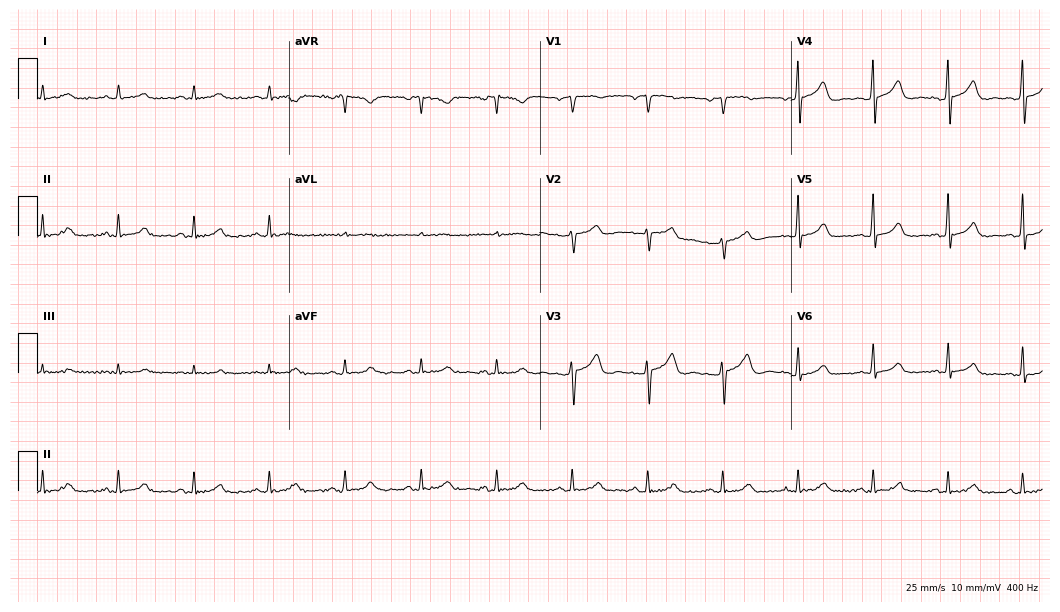
12-lead ECG (10.2-second recording at 400 Hz) from a male patient, 67 years old. Labelled as a normal ECG.